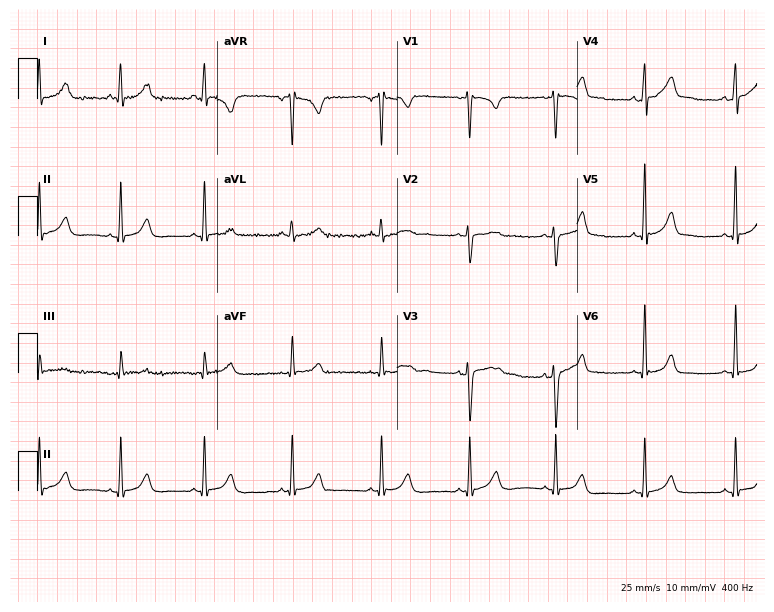
12-lead ECG (7.3-second recording at 400 Hz) from a woman, 20 years old. Labelled as a normal ECG.